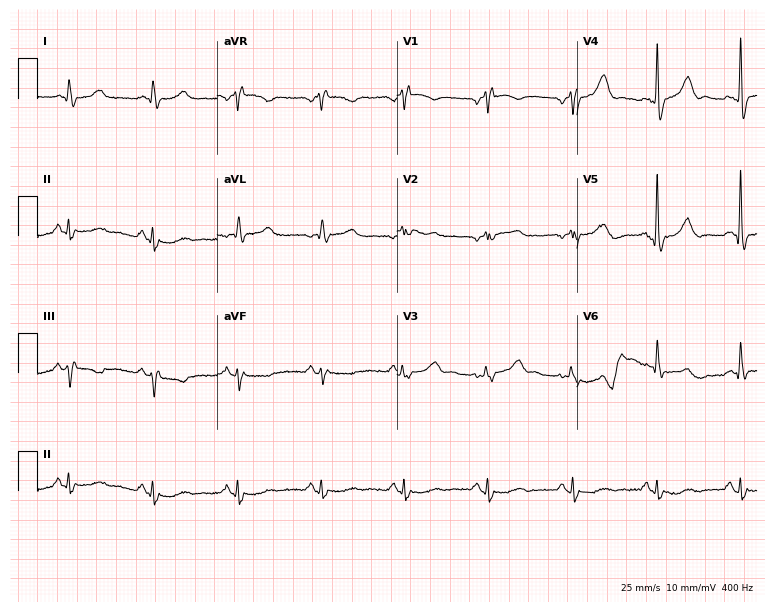
ECG — a 62-year-old male patient. Findings include right bundle branch block.